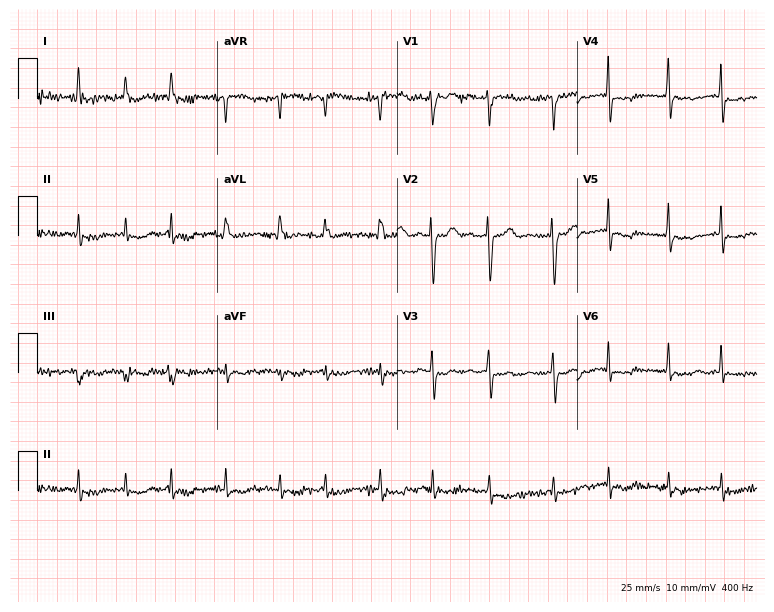
Electrocardiogram (7.3-second recording at 400 Hz), a 78-year-old female. Of the six screened findings (first-degree AV block, right bundle branch block, left bundle branch block, sinus bradycardia, atrial fibrillation, sinus tachycardia), none is recorded. Findings outside these six are not listed.